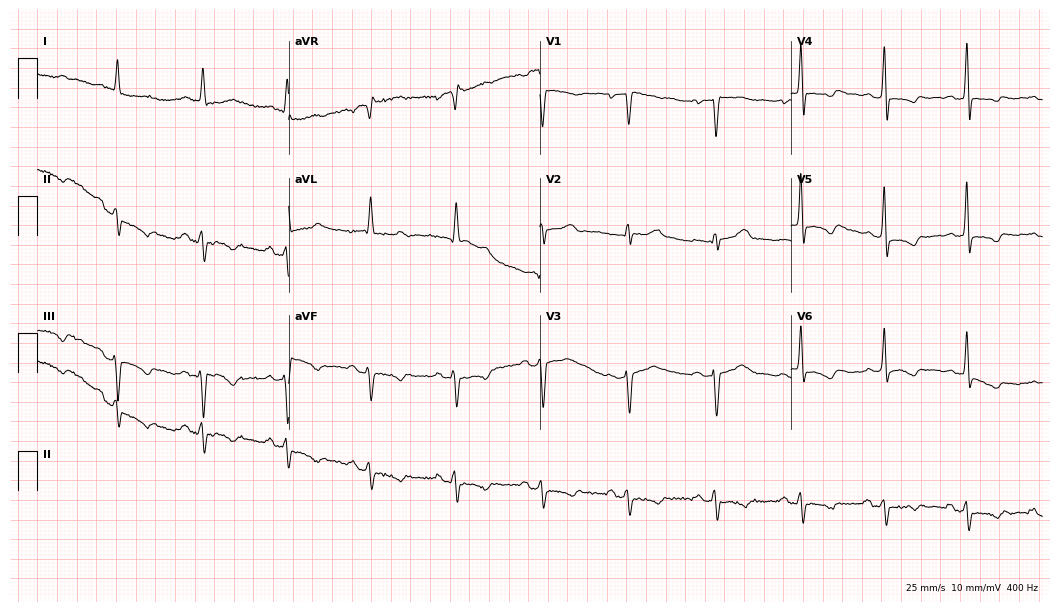
12-lead ECG (10.2-second recording at 400 Hz) from a female, 70 years old. Screened for six findings — first-degree AV block, right bundle branch block (RBBB), left bundle branch block (LBBB), sinus bradycardia, atrial fibrillation (AF), sinus tachycardia — none is recorded.